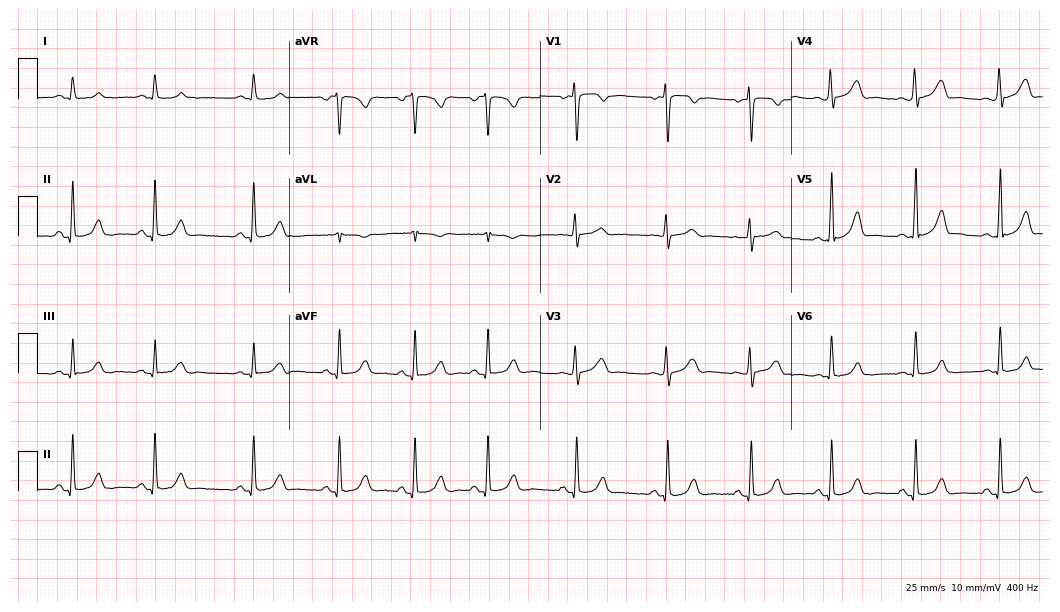
ECG (10.2-second recording at 400 Hz) — a 28-year-old female patient. Labelled as a normal ECG.